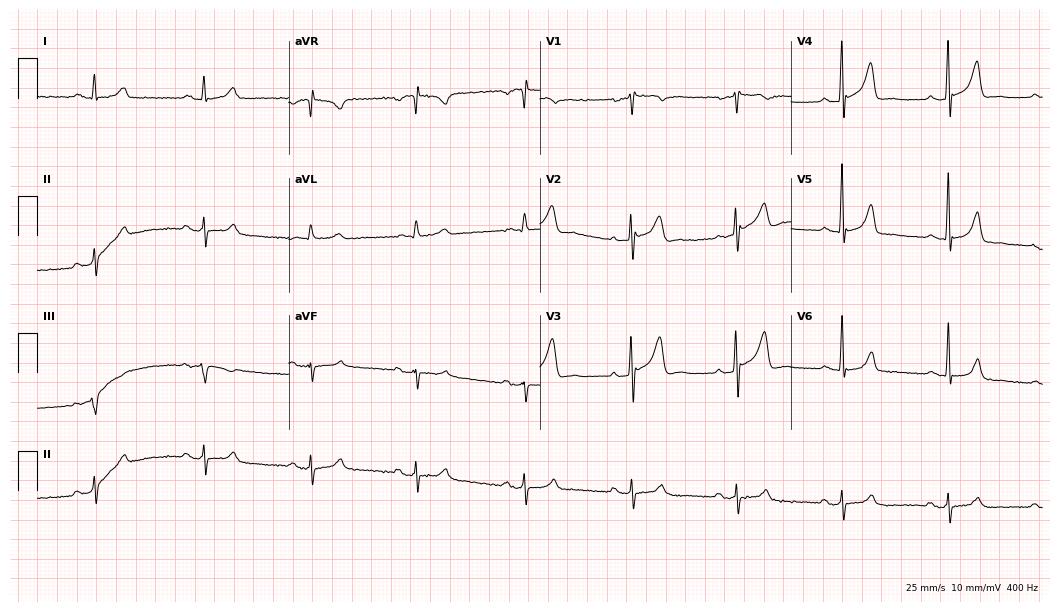
Resting 12-lead electrocardiogram. Patient: a 59-year-old male. None of these six findings is recorded: first-degree AV block, right bundle branch block (RBBB), left bundle branch block (LBBB), sinus bradycardia, atrial fibrillation (AF), sinus tachycardia. Only these six findings were labelled.